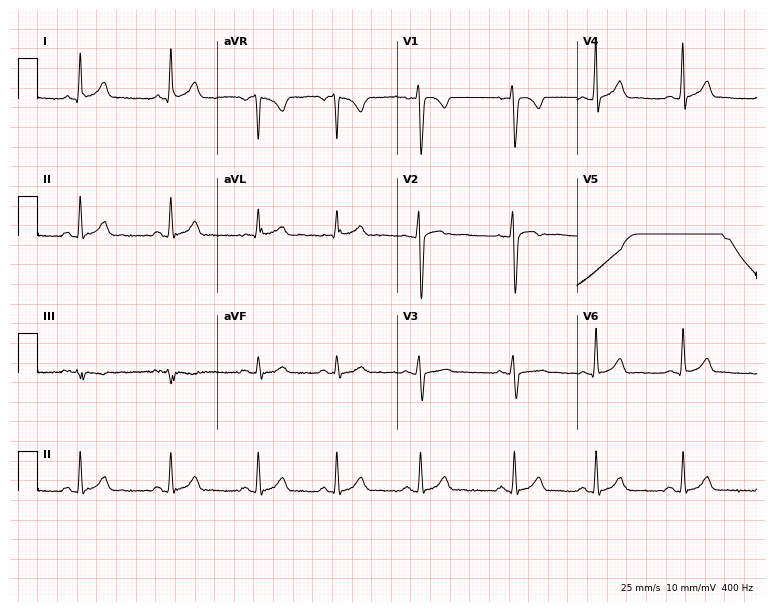
ECG (7.3-second recording at 400 Hz) — a female patient, 32 years old. Labelled as a normal ECG.